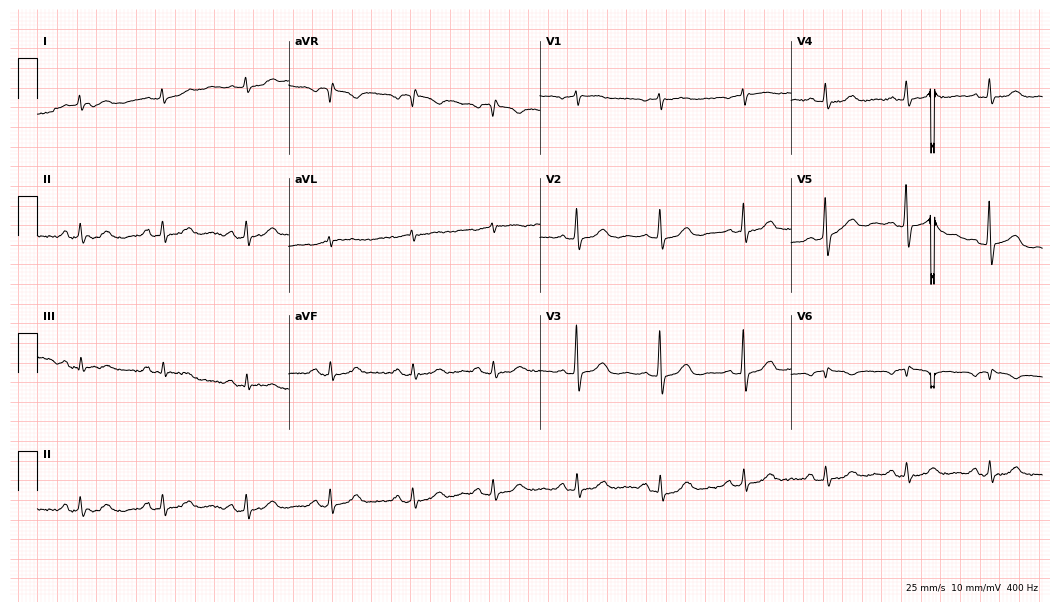
12-lead ECG (10.2-second recording at 400 Hz) from a 75-year-old man. Screened for six findings — first-degree AV block, right bundle branch block, left bundle branch block, sinus bradycardia, atrial fibrillation, sinus tachycardia — none is recorded. Only these six findings were labelled.